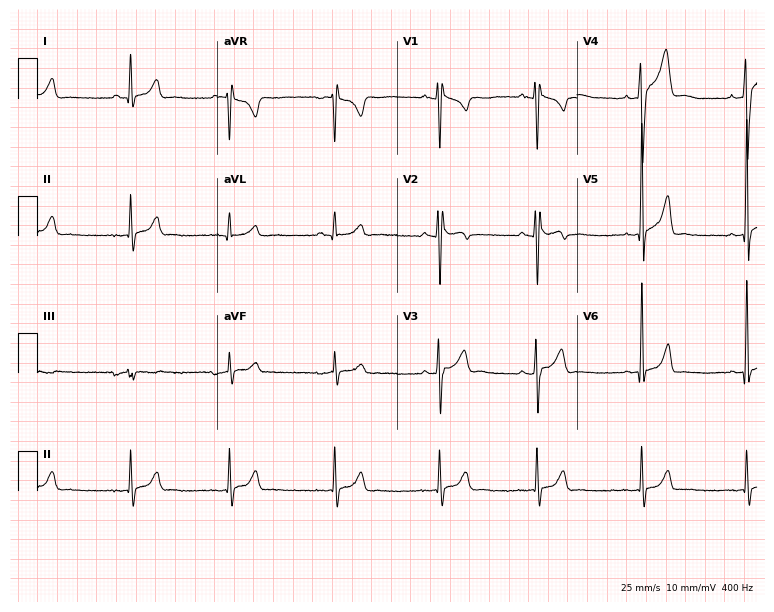
12-lead ECG (7.3-second recording at 400 Hz) from a 23-year-old man. Labelled as a normal ECG.